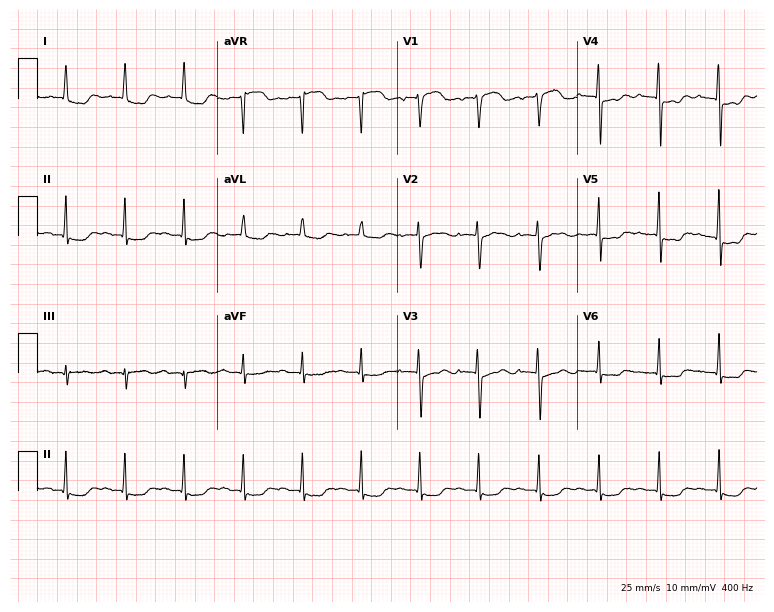
Resting 12-lead electrocardiogram (7.3-second recording at 400 Hz). Patient: a woman, 70 years old. None of these six findings is recorded: first-degree AV block, right bundle branch block, left bundle branch block, sinus bradycardia, atrial fibrillation, sinus tachycardia.